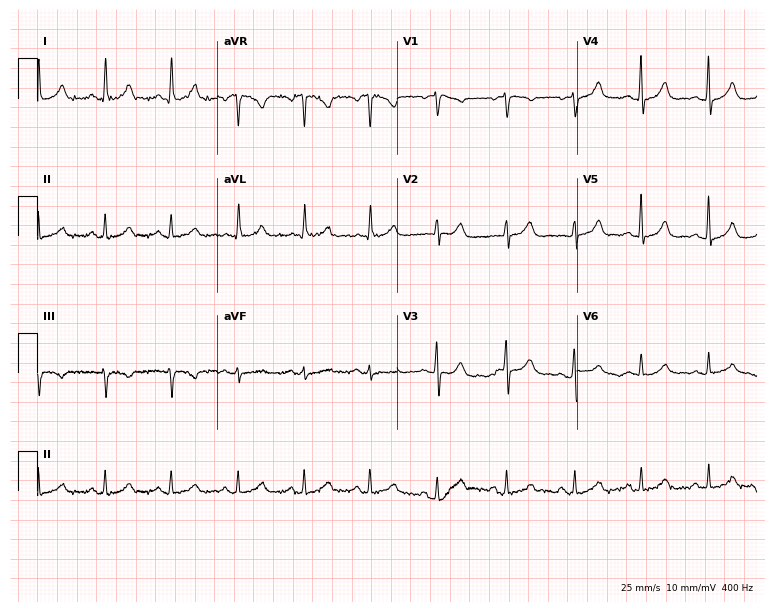
ECG (7.3-second recording at 400 Hz) — a female patient, 63 years old. Labelled as a normal ECG.